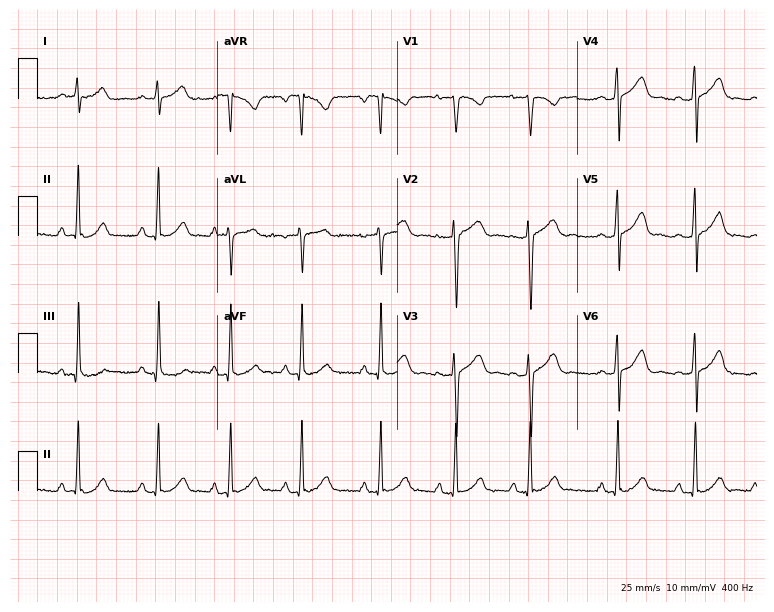
Electrocardiogram (7.3-second recording at 400 Hz), a 24-year-old woman. Overall reading on record: normal ECG.